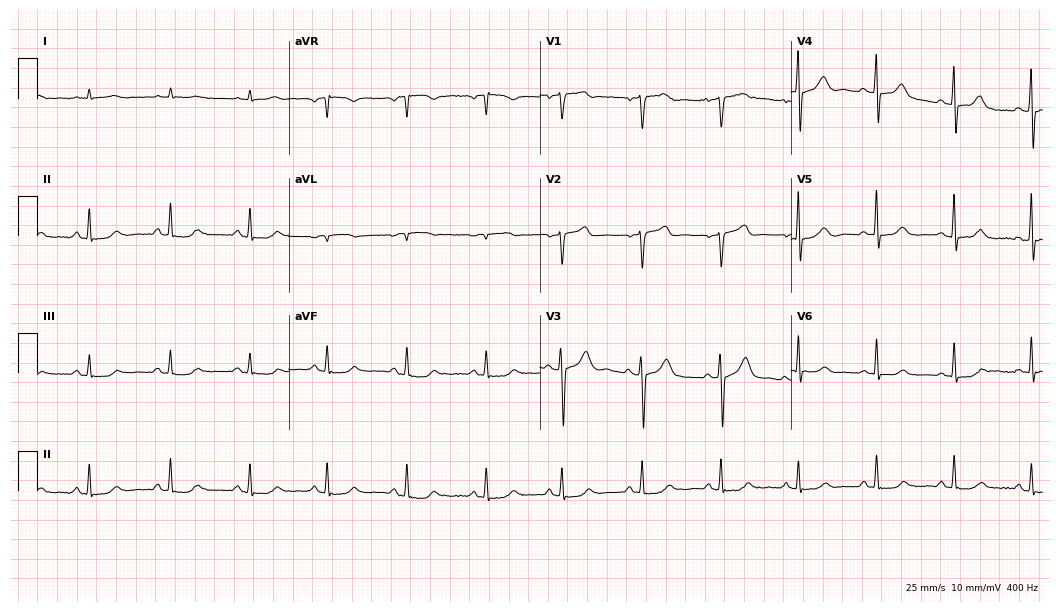
12-lead ECG from a man, 51 years old (10.2-second recording at 400 Hz). Recorded interpretation: within normal limits.